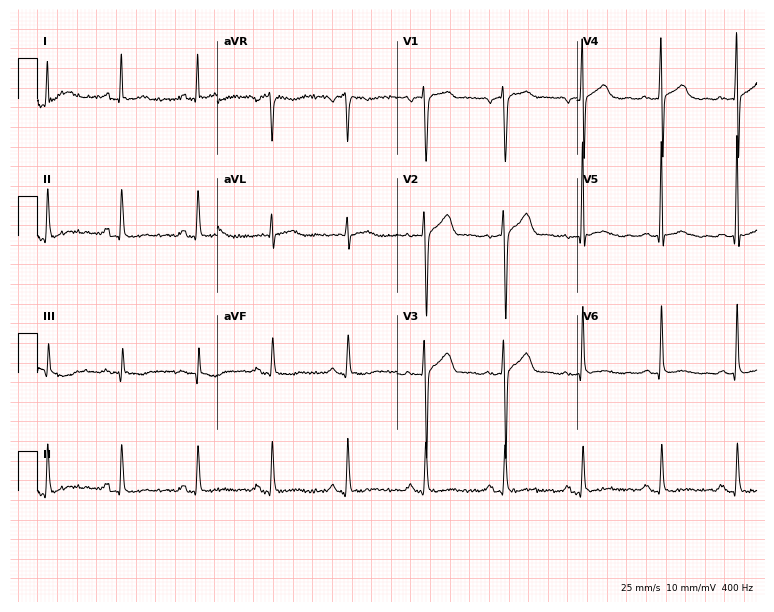
ECG — a 47-year-old man. Screened for six findings — first-degree AV block, right bundle branch block, left bundle branch block, sinus bradycardia, atrial fibrillation, sinus tachycardia — none is recorded. Only these six findings were labelled.